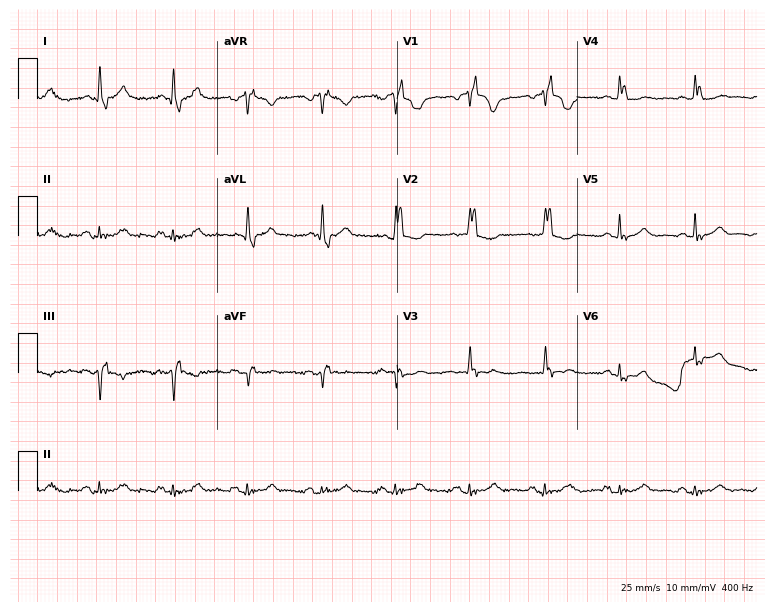
12-lead ECG (7.3-second recording at 400 Hz) from a female patient, 76 years old. Screened for six findings — first-degree AV block, right bundle branch block, left bundle branch block, sinus bradycardia, atrial fibrillation, sinus tachycardia — none is recorded.